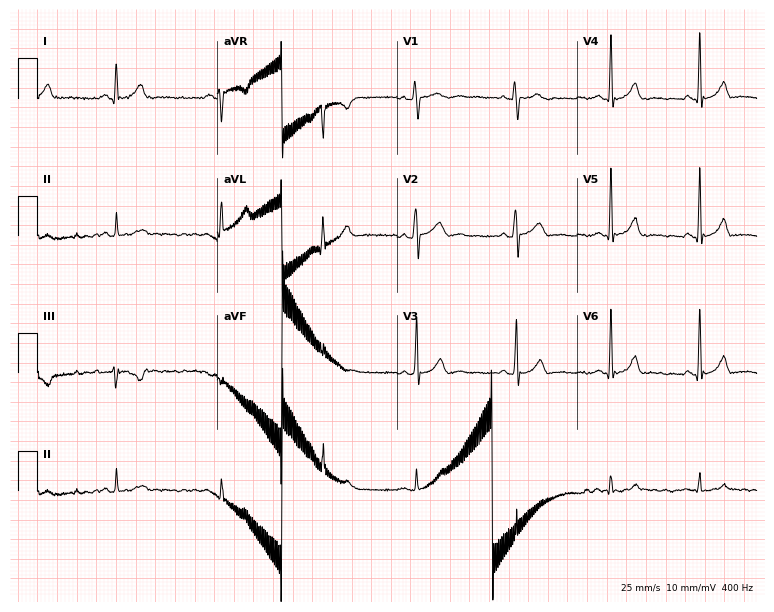
Electrocardiogram, a female, 28 years old. Overall reading on record: normal ECG.